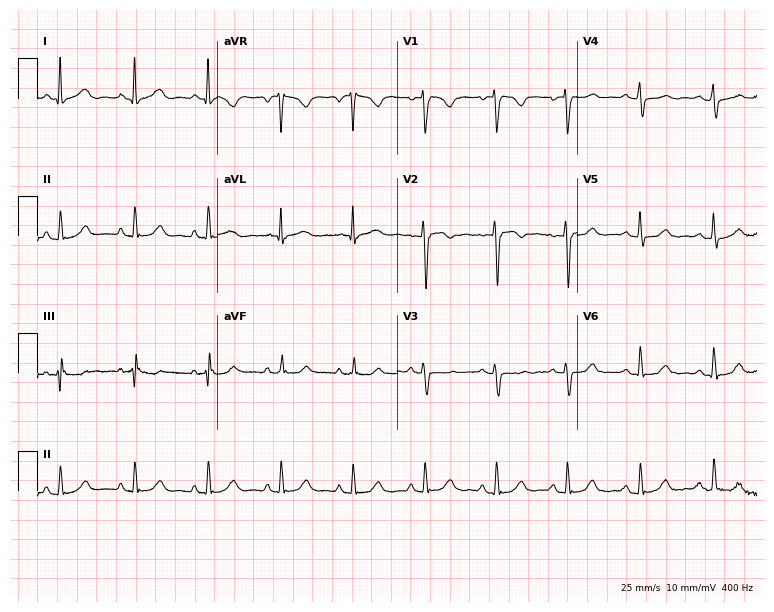
Electrocardiogram (7.3-second recording at 400 Hz), a 44-year-old female patient. Overall reading on record: normal ECG.